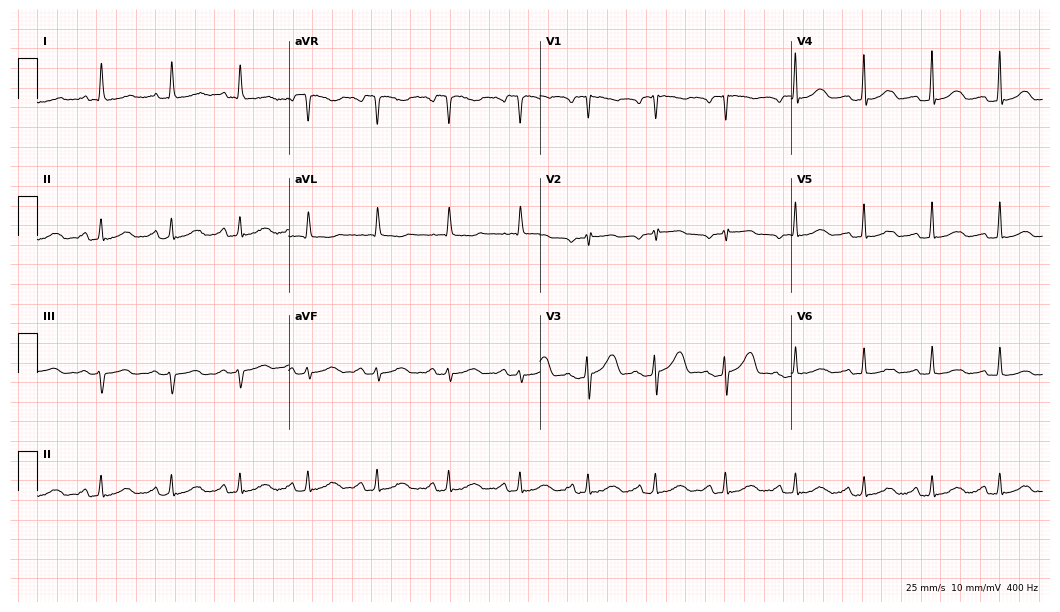
12-lead ECG (10.2-second recording at 400 Hz) from a 57-year-old female. Screened for six findings — first-degree AV block, right bundle branch block, left bundle branch block, sinus bradycardia, atrial fibrillation, sinus tachycardia — none is recorded. Findings outside these six are not listed.